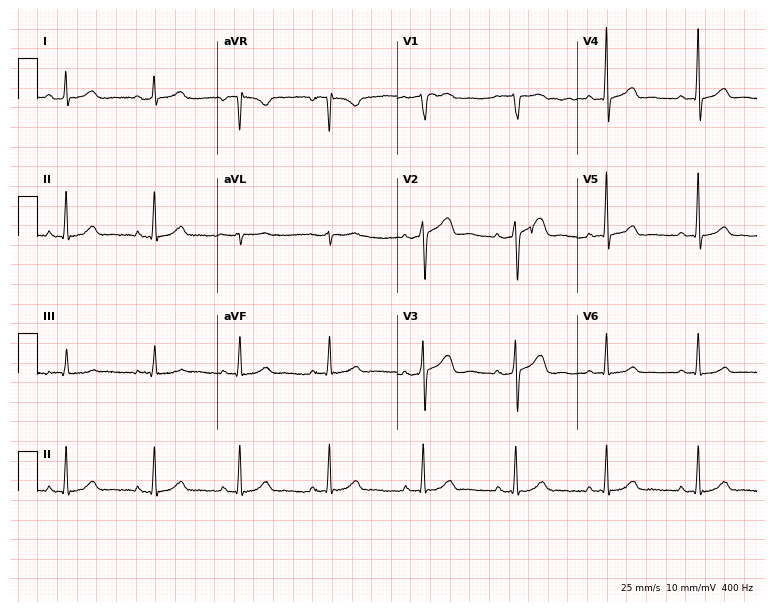
12-lead ECG (7.3-second recording at 400 Hz) from a female patient, 40 years old. Labelled as a normal ECG.